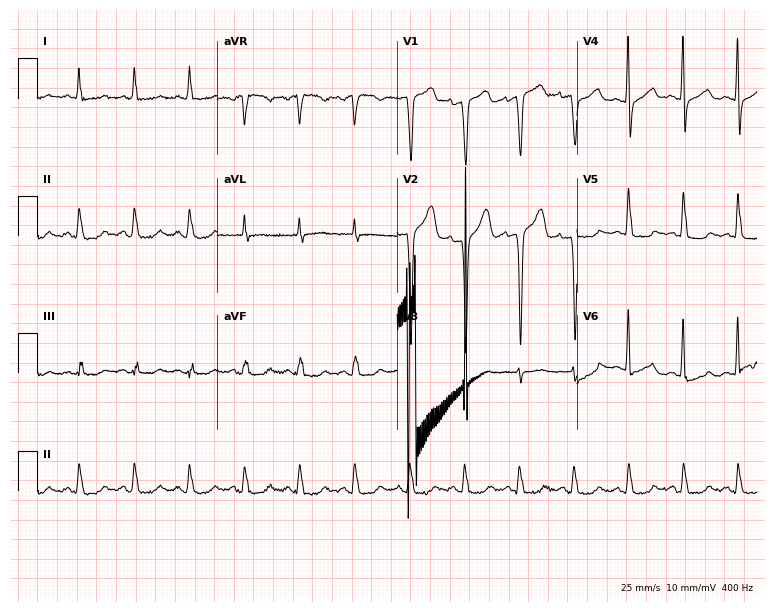
12-lead ECG from a male patient, 41 years old (7.3-second recording at 400 Hz). Shows sinus tachycardia (a sinus rate of 100 beats per minute or more).